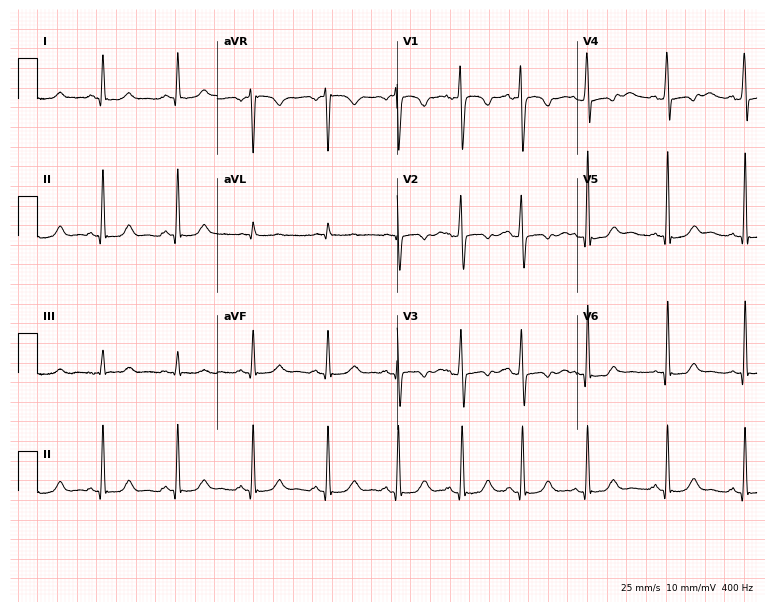
Resting 12-lead electrocardiogram (7.3-second recording at 400 Hz). Patient: a female, 36 years old. Read as a normal ECG.